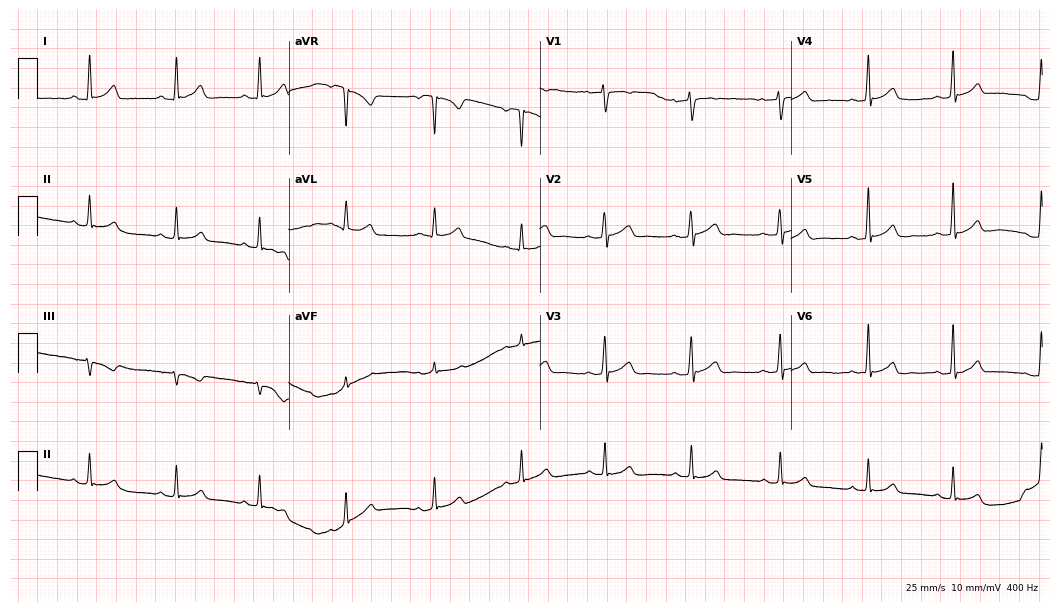
ECG (10.2-second recording at 400 Hz) — a 43-year-old female patient. Labelled as a normal ECG.